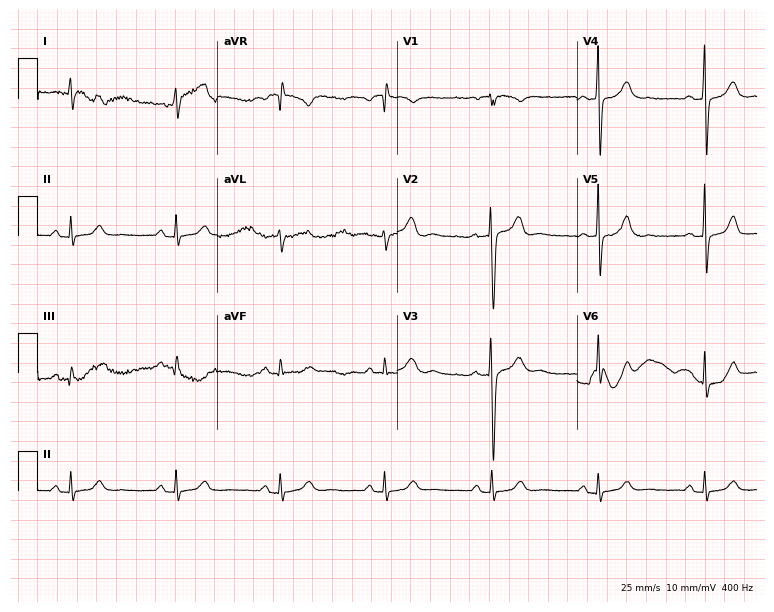
12-lead ECG from a 43-year-old woman (7.3-second recording at 400 Hz). No first-degree AV block, right bundle branch block, left bundle branch block, sinus bradycardia, atrial fibrillation or sinus tachycardia recorded for this tracing.